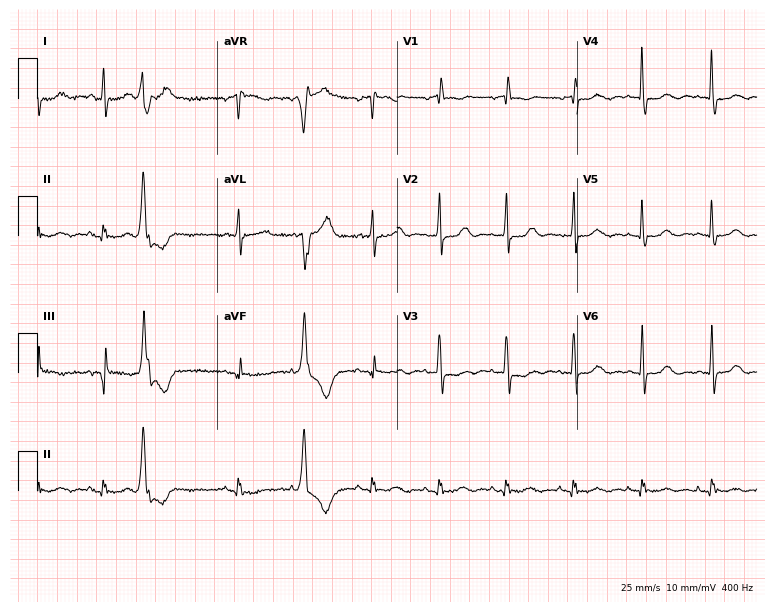
12-lead ECG (7.3-second recording at 400 Hz) from a woman, 80 years old. Screened for six findings — first-degree AV block, right bundle branch block, left bundle branch block, sinus bradycardia, atrial fibrillation, sinus tachycardia — none is recorded. Only these six findings were labelled.